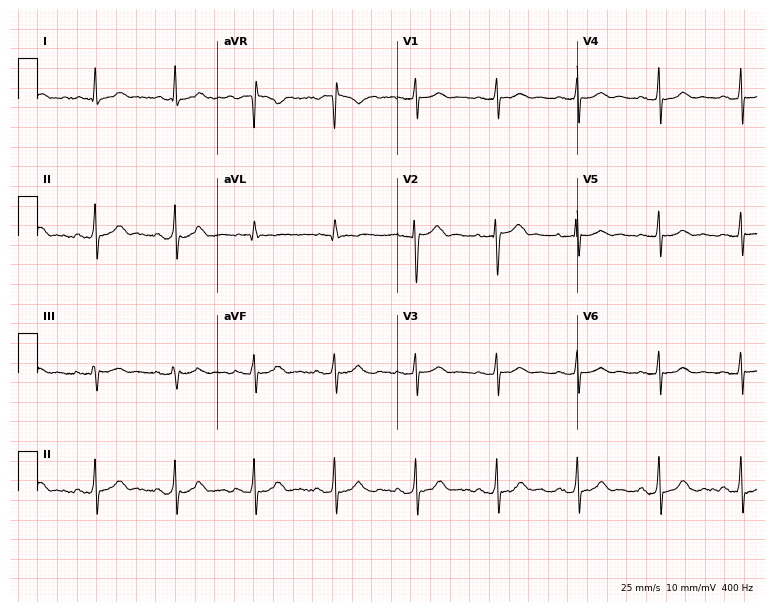
12-lead ECG from a female, 59 years old (7.3-second recording at 400 Hz). No first-degree AV block, right bundle branch block, left bundle branch block, sinus bradycardia, atrial fibrillation or sinus tachycardia recorded for this tracing. Findings outside these six are not listed.